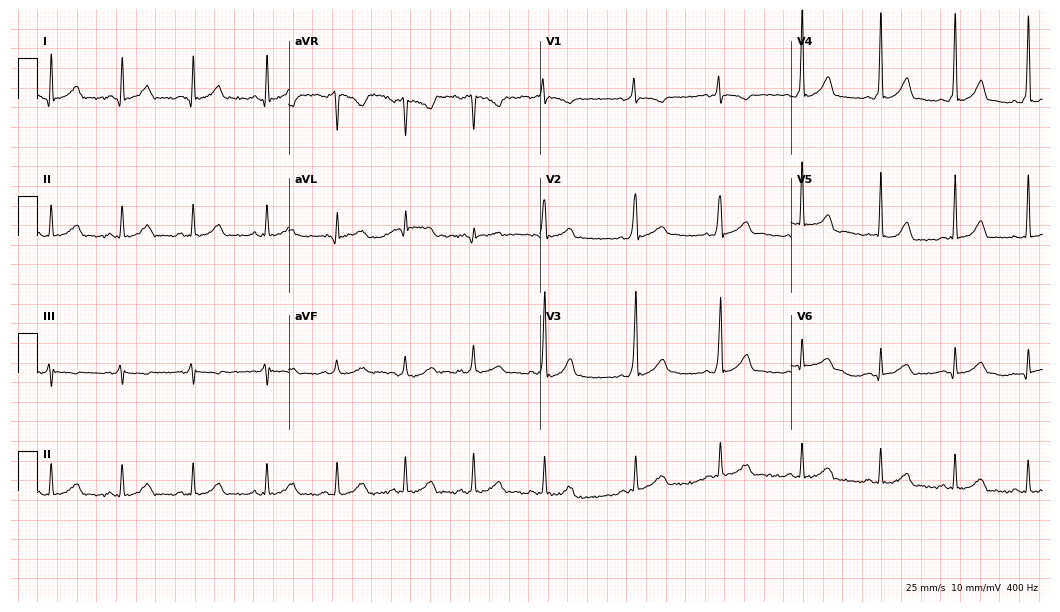
12-lead ECG (10.2-second recording at 400 Hz) from a 25-year-old woman. Screened for six findings — first-degree AV block, right bundle branch block, left bundle branch block, sinus bradycardia, atrial fibrillation, sinus tachycardia — none is recorded.